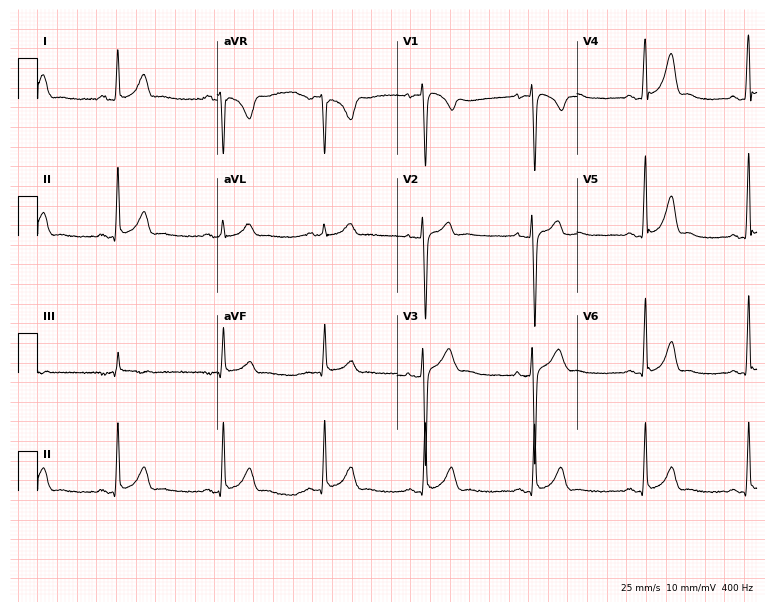
12-lead ECG from a 22-year-old female patient. Screened for six findings — first-degree AV block, right bundle branch block, left bundle branch block, sinus bradycardia, atrial fibrillation, sinus tachycardia — none is recorded.